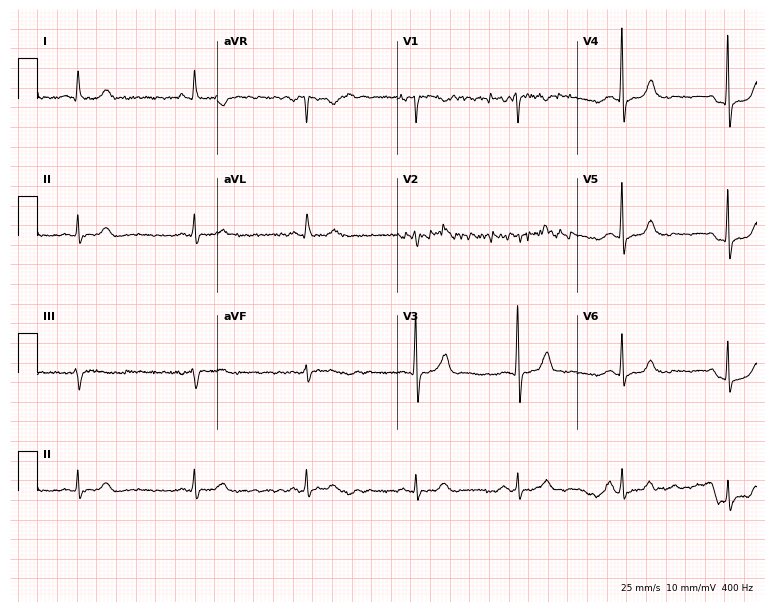
12-lead ECG from a male, 53 years old. Screened for six findings — first-degree AV block, right bundle branch block, left bundle branch block, sinus bradycardia, atrial fibrillation, sinus tachycardia — none is recorded.